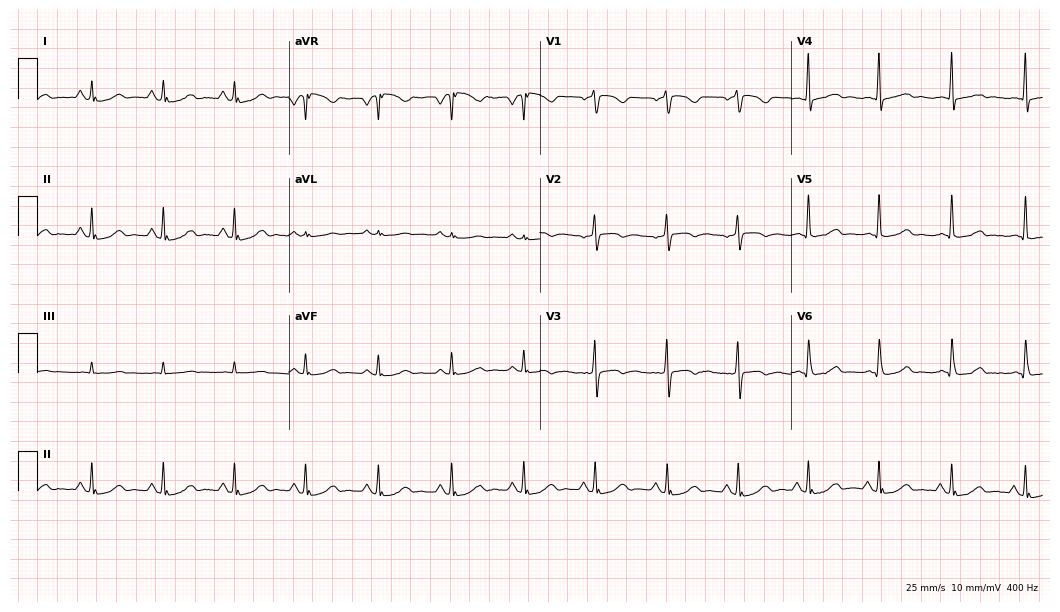
ECG — a 55-year-old woman. Screened for six findings — first-degree AV block, right bundle branch block, left bundle branch block, sinus bradycardia, atrial fibrillation, sinus tachycardia — none is recorded. Findings outside these six are not listed.